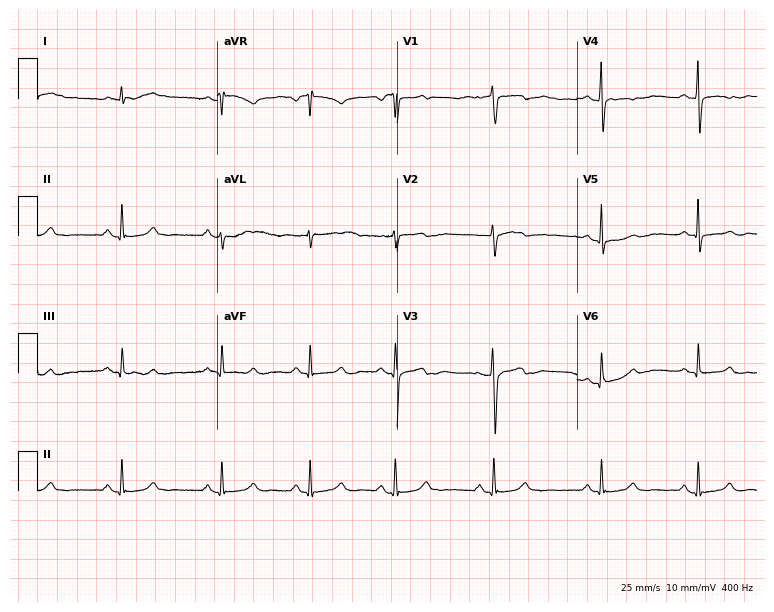
12-lead ECG (7.3-second recording at 400 Hz) from a 45-year-old female. Screened for six findings — first-degree AV block, right bundle branch block, left bundle branch block, sinus bradycardia, atrial fibrillation, sinus tachycardia — none is recorded. Other findings, if any, are not listed.